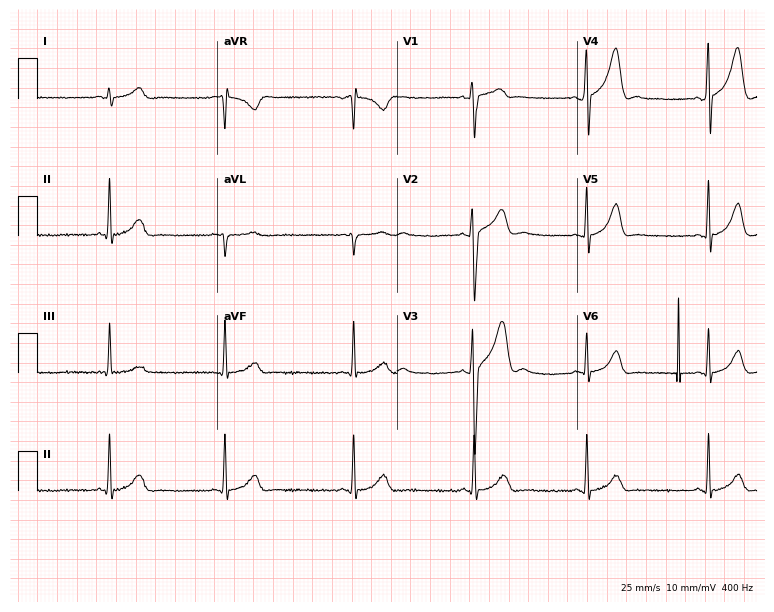
Resting 12-lead electrocardiogram (7.3-second recording at 400 Hz). Patient: a male, 25 years old. Read as a normal ECG.